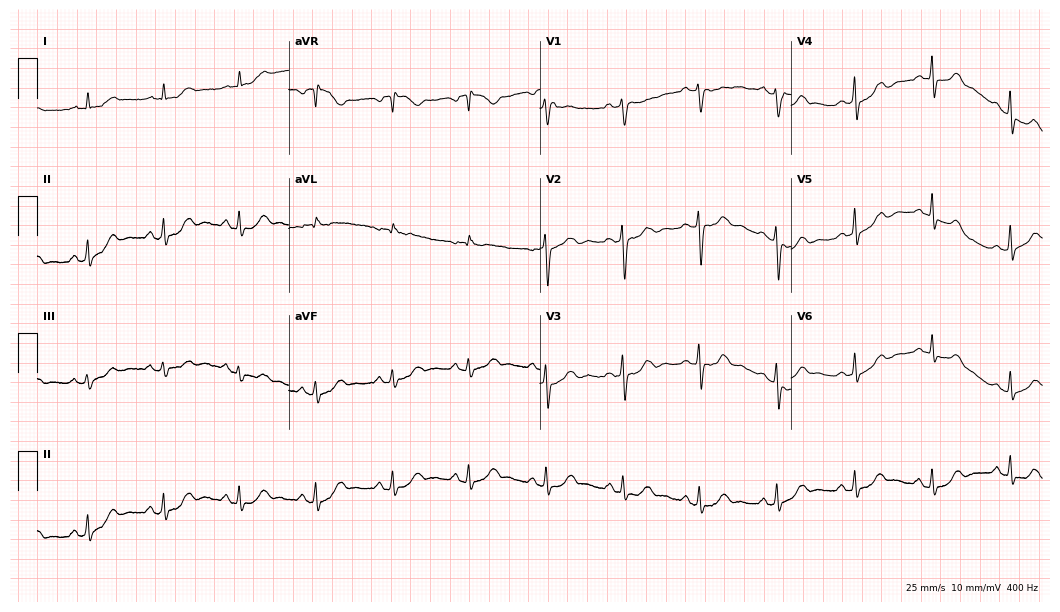
12-lead ECG from a female patient, 67 years old. Recorded interpretation: within normal limits.